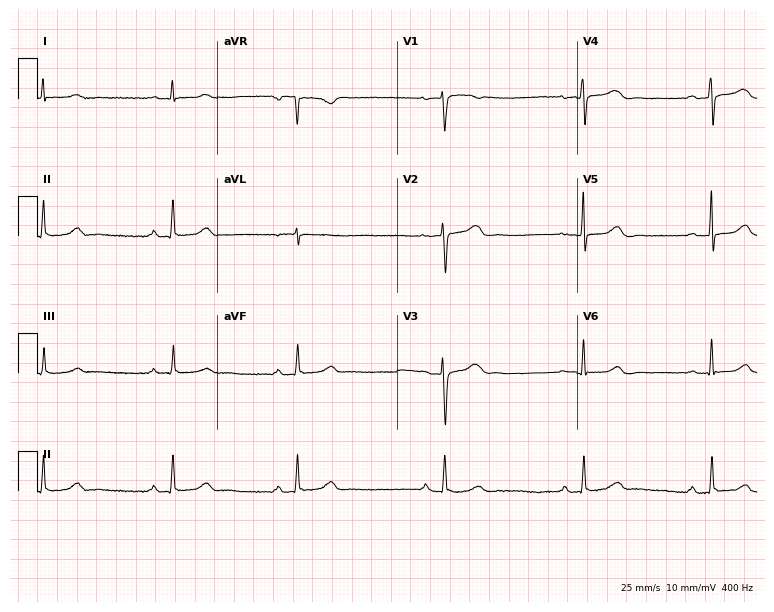
12-lead ECG from a 37-year-old female patient. Shows sinus bradycardia (a sinus rate of 50 beats per minute or less).